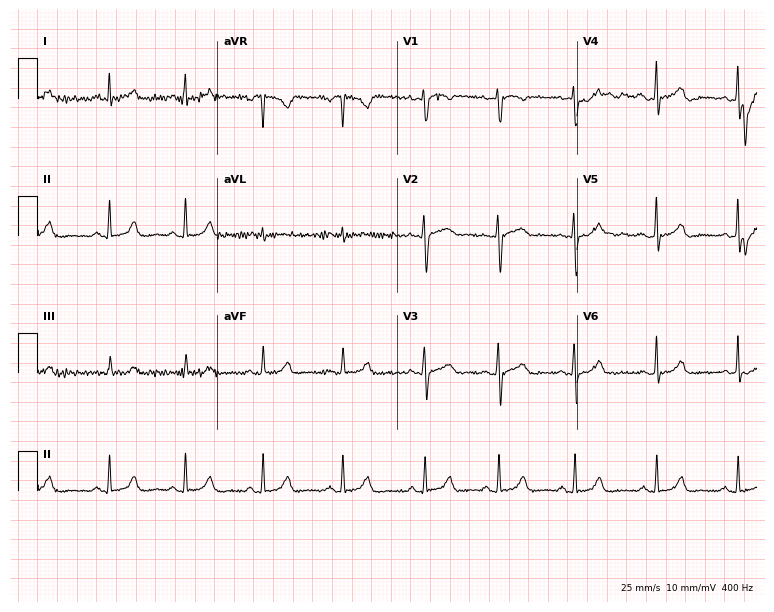
ECG — a female patient, 38 years old. Labelled as a normal ECG.